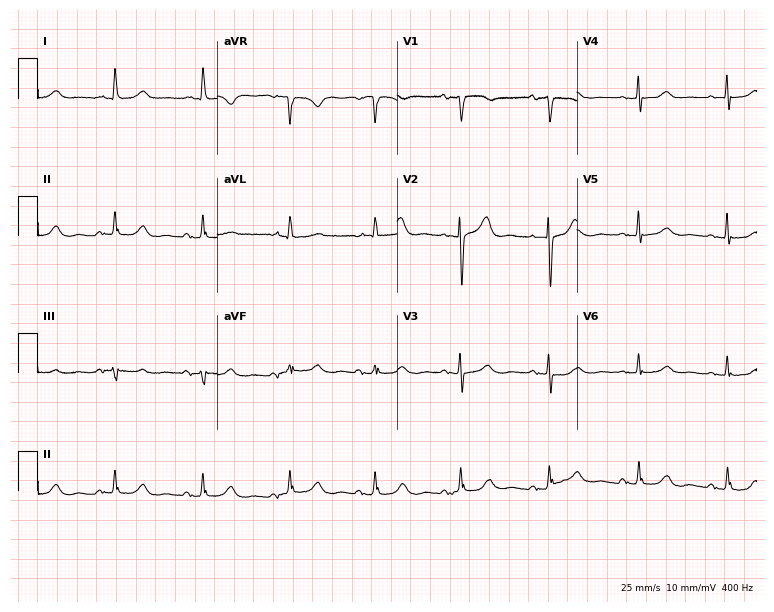
Standard 12-lead ECG recorded from a woman, 76 years old (7.3-second recording at 400 Hz). Read as a normal ECG.